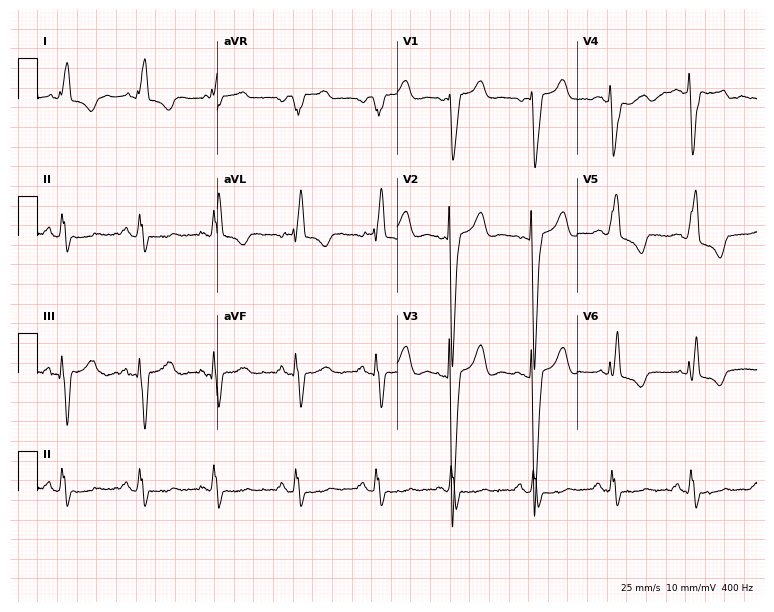
Electrocardiogram (7.3-second recording at 400 Hz), a female, 82 years old. Interpretation includes left bundle branch block (LBBB).